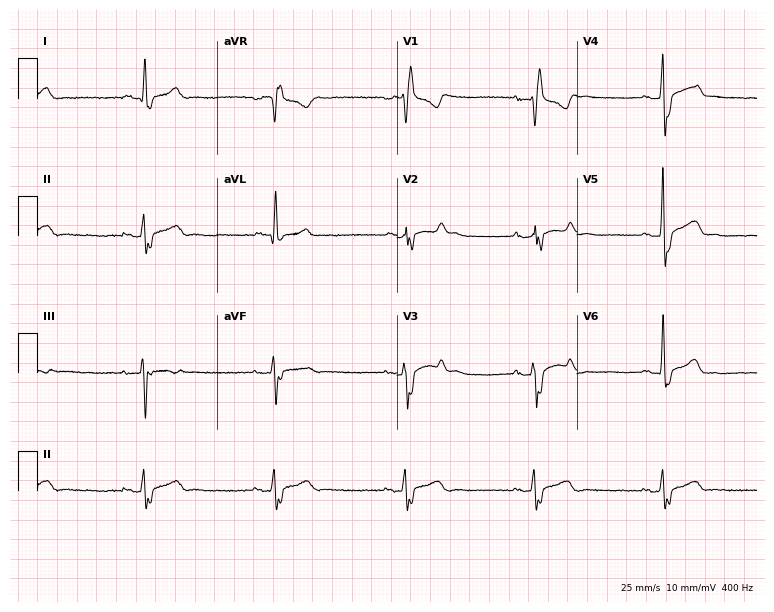
Resting 12-lead electrocardiogram. Patient: a male, 66 years old. The tracing shows right bundle branch block, sinus bradycardia (a sinus rate of 50 beats per minute or less).